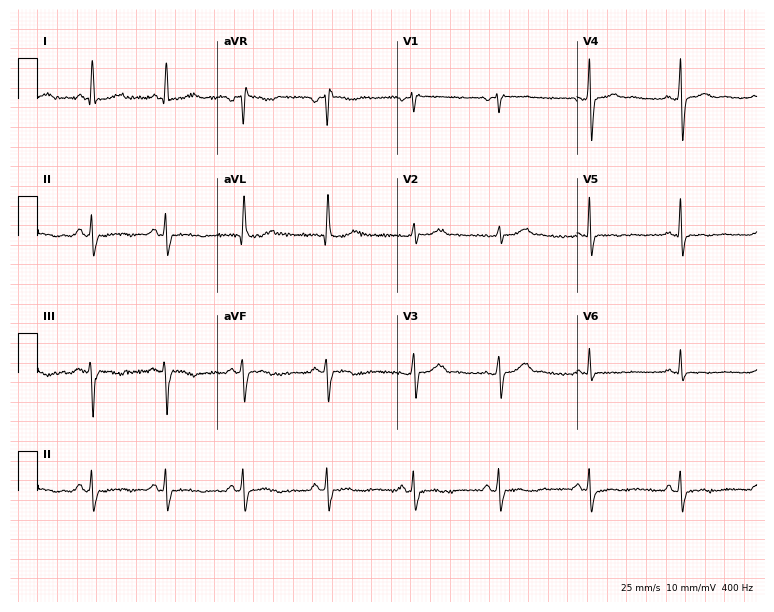
Resting 12-lead electrocardiogram. Patient: a female, 38 years old. None of these six findings is recorded: first-degree AV block, right bundle branch block, left bundle branch block, sinus bradycardia, atrial fibrillation, sinus tachycardia. Findings outside these six are not listed.